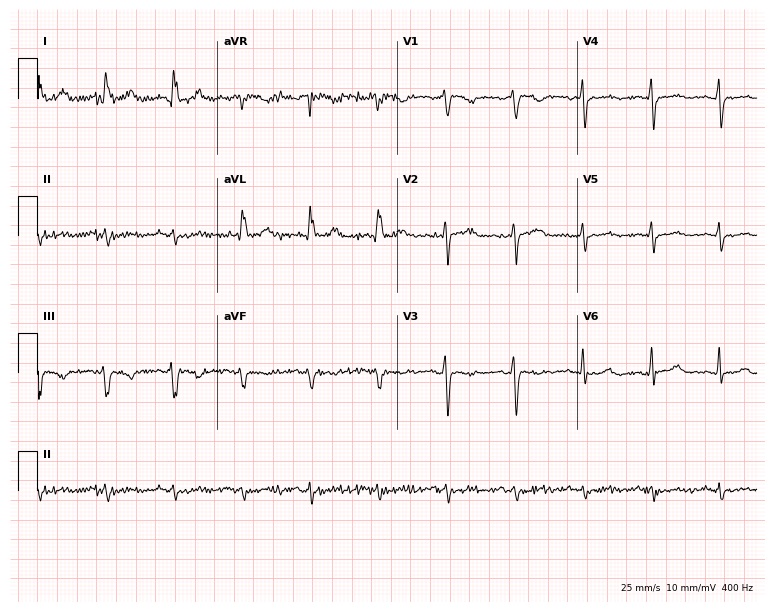
12-lead ECG from a 57-year-old female. No first-degree AV block, right bundle branch block, left bundle branch block, sinus bradycardia, atrial fibrillation or sinus tachycardia recorded for this tracing.